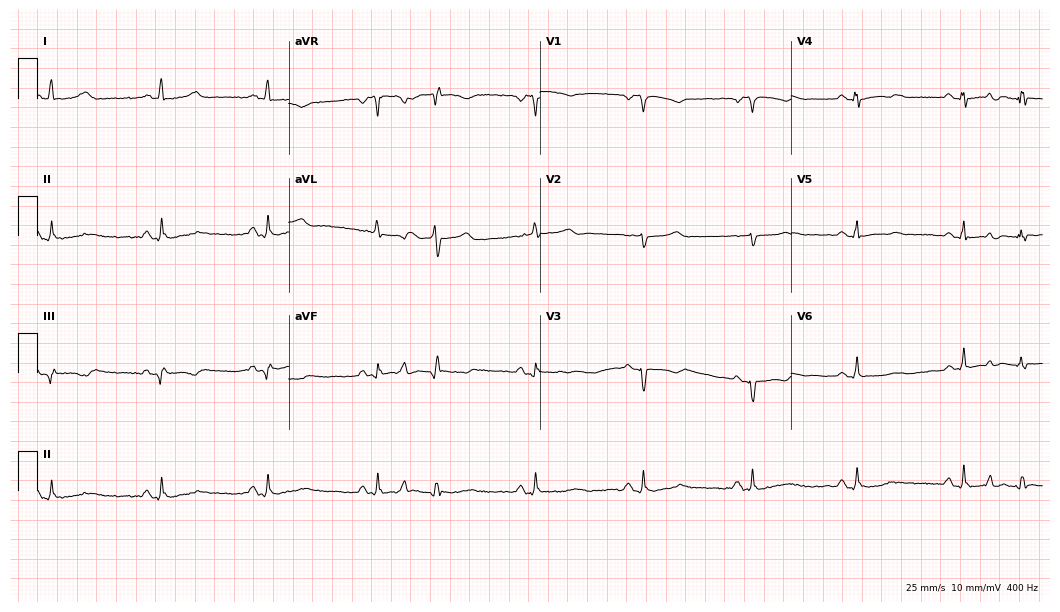
12-lead ECG from a woman, 71 years old (10.2-second recording at 400 Hz). No first-degree AV block, right bundle branch block, left bundle branch block, sinus bradycardia, atrial fibrillation or sinus tachycardia recorded for this tracing. Only these six findings were labelled.